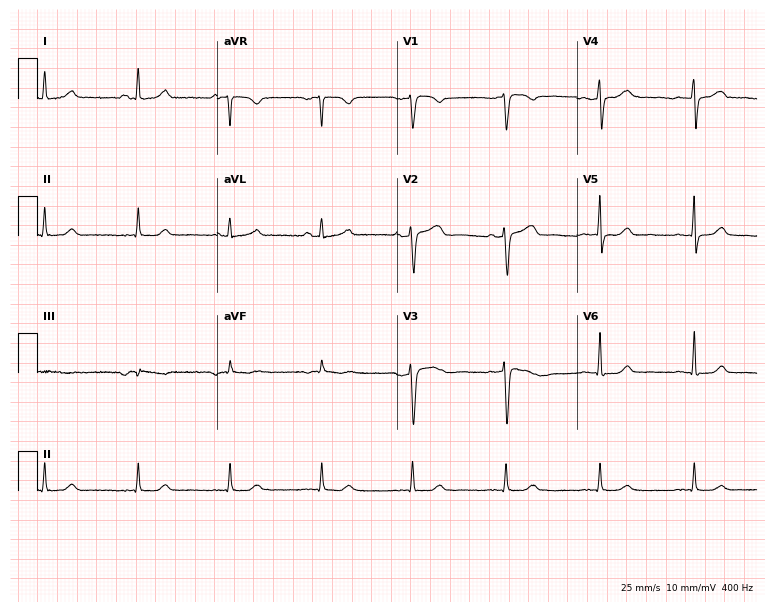
Resting 12-lead electrocardiogram. Patient: a female, 56 years old. Read as a normal ECG.